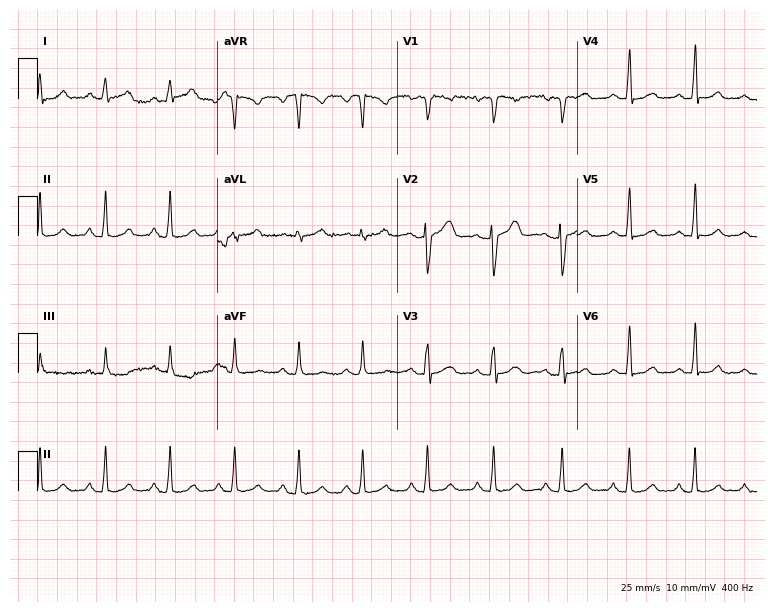
Standard 12-lead ECG recorded from a 25-year-old female. None of these six findings is recorded: first-degree AV block, right bundle branch block, left bundle branch block, sinus bradycardia, atrial fibrillation, sinus tachycardia.